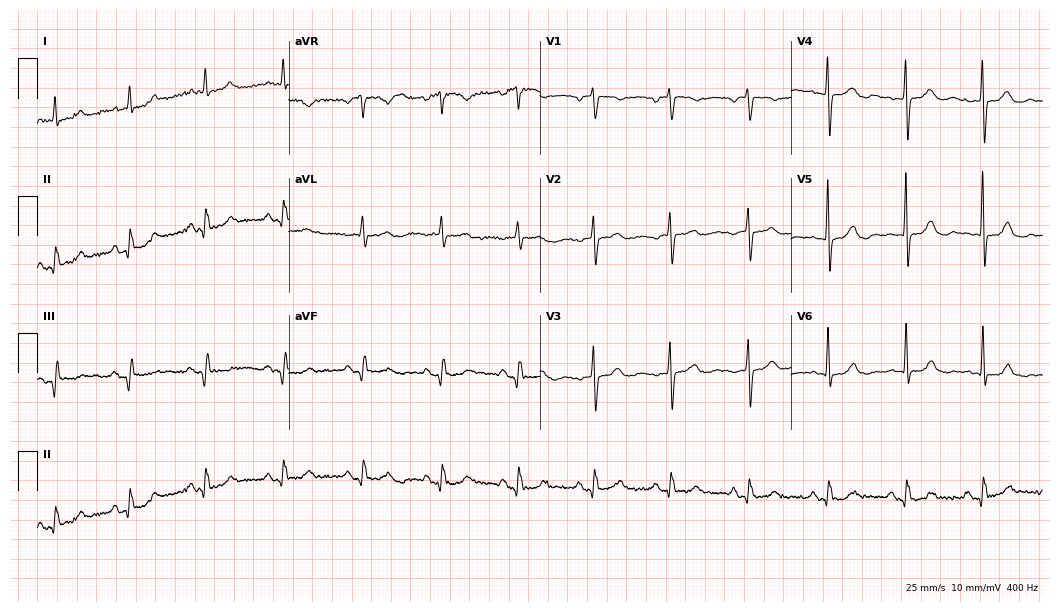
Standard 12-lead ECG recorded from a female, 64 years old. None of these six findings is recorded: first-degree AV block, right bundle branch block, left bundle branch block, sinus bradycardia, atrial fibrillation, sinus tachycardia.